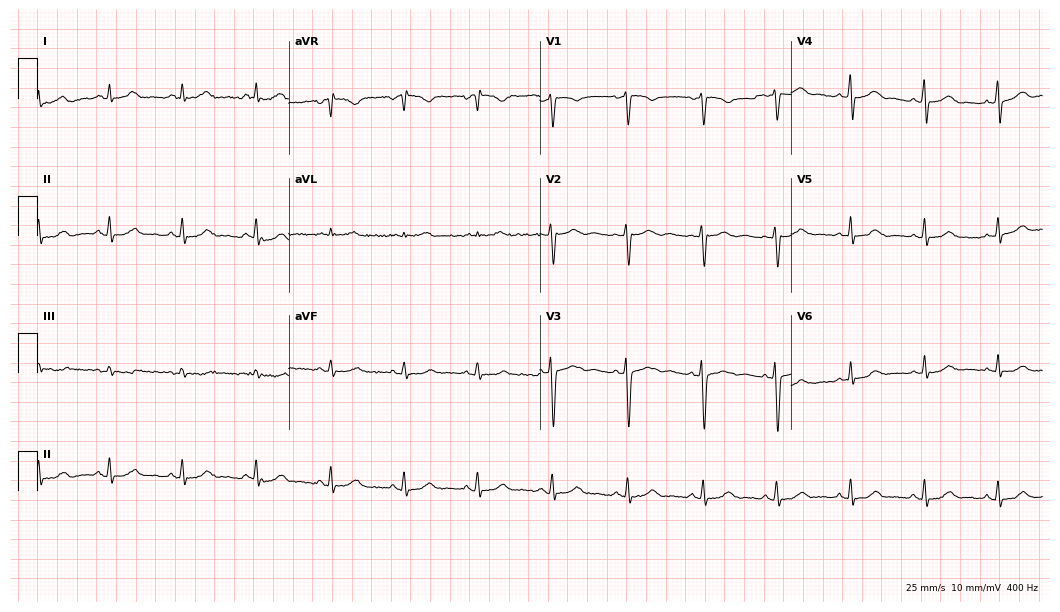
12-lead ECG (10.2-second recording at 400 Hz) from a female patient, 43 years old. Labelled as a normal ECG.